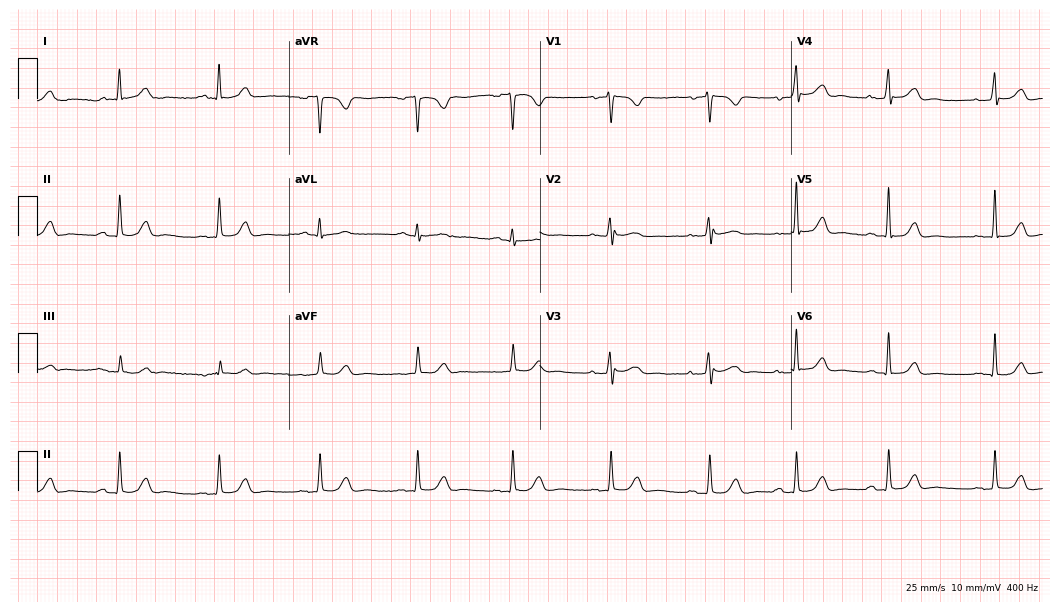
Standard 12-lead ECG recorded from a 70-year-old female patient (10.2-second recording at 400 Hz). Read as a normal ECG.